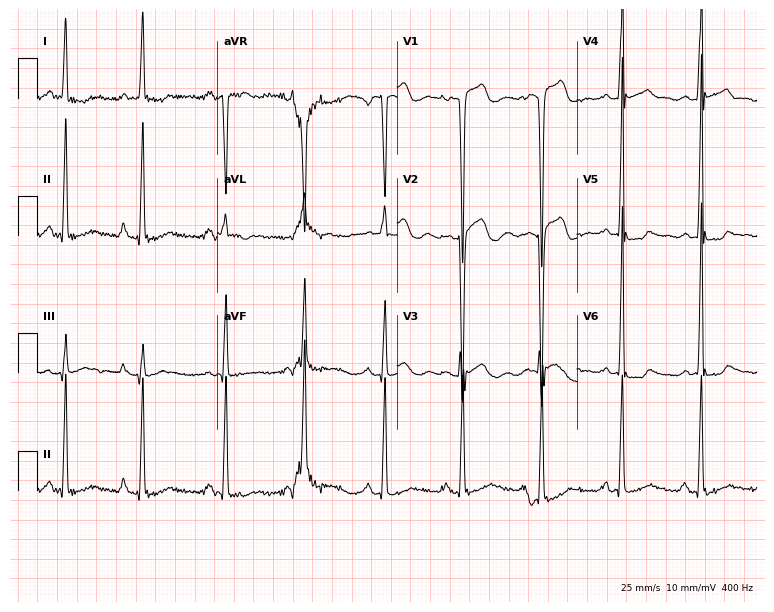
Resting 12-lead electrocardiogram. Patient: a male, 66 years old. None of these six findings is recorded: first-degree AV block, right bundle branch block (RBBB), left bundle branch block (LBBB), sinus bradycardia, atrial fibrillation (AF), sinus tachycardia. Findings outside these six are not listed.